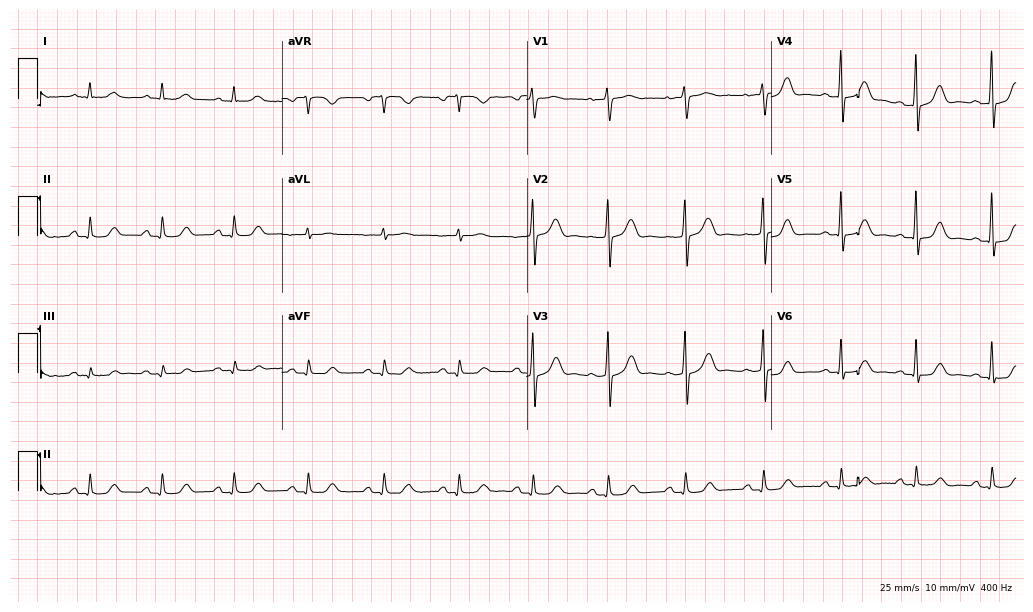
Resting 12-lead electrocardiogram. Patient: a female, 66 years old. Read as a normal ECG.